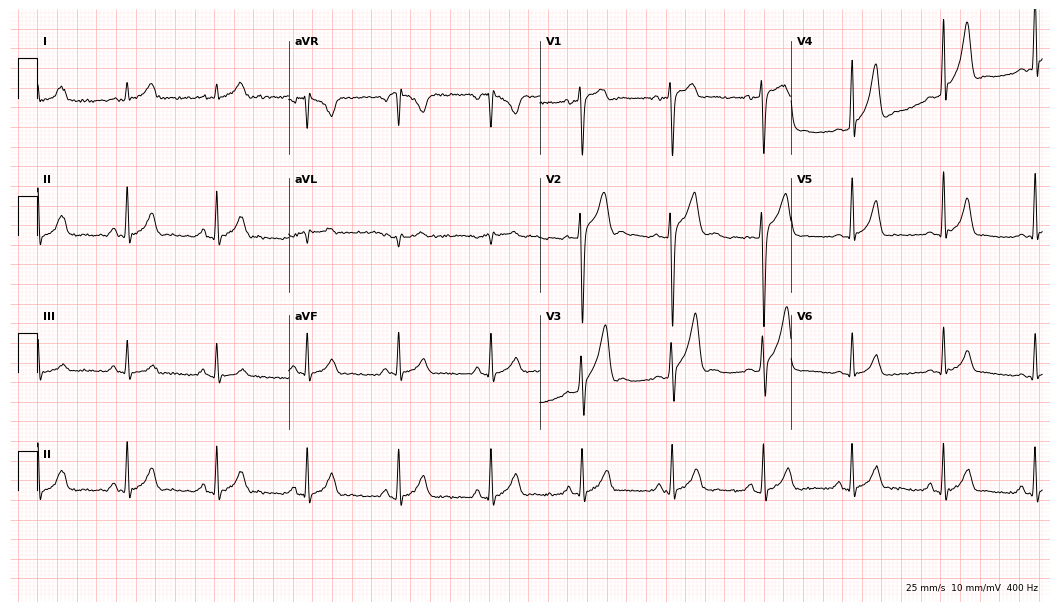
Resting 12-lead electrocardiogram (10.2-second recording at 400 Hz). Patient: a man, 33 years old. Read as a normal ECG.